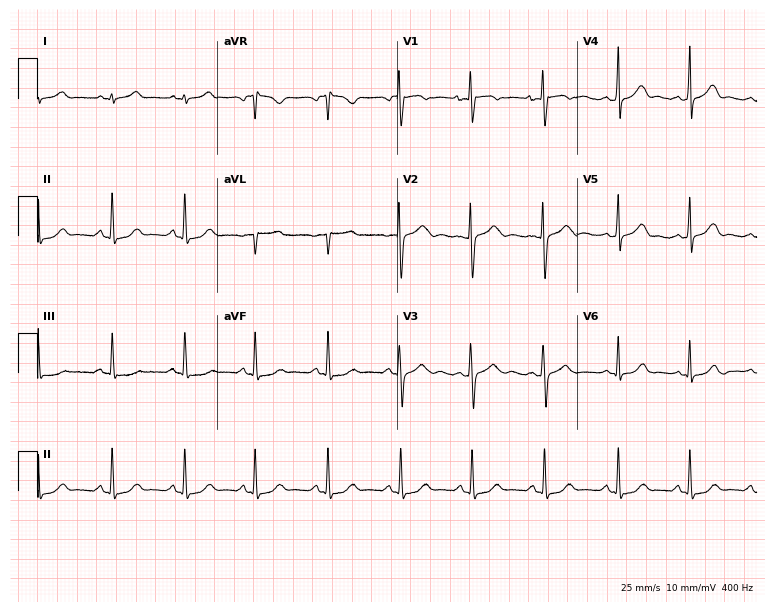
12-lead ECG (7.3-second recording at 400 Hz) from a 17-year-old female patient. Labelled as a normal ECG.